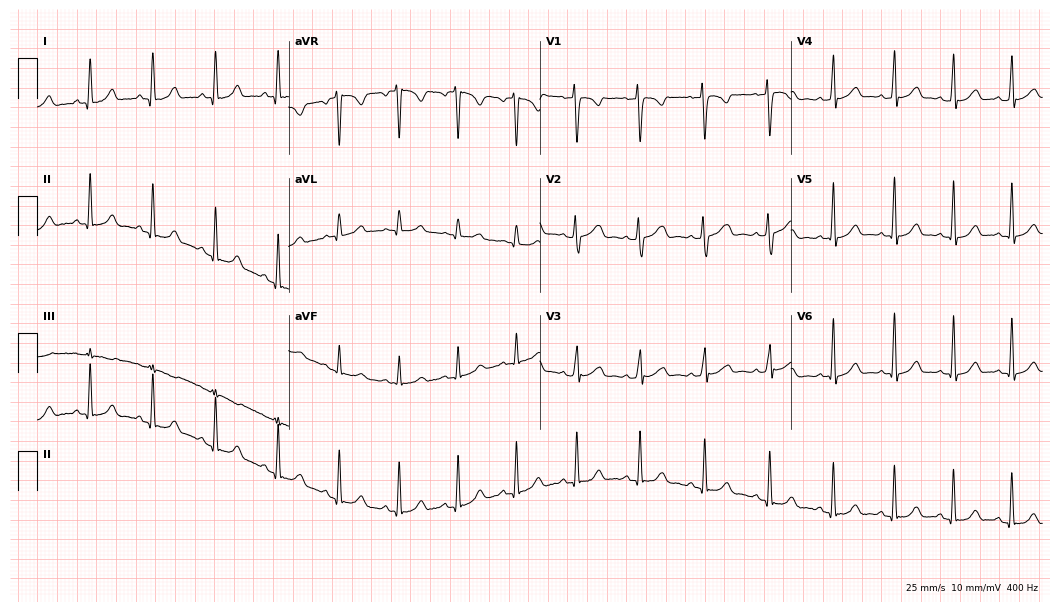
12-lead ECG (10.2-second recording at 400 Hz) from a 29-year-old female. Labelled as a normal ECG.